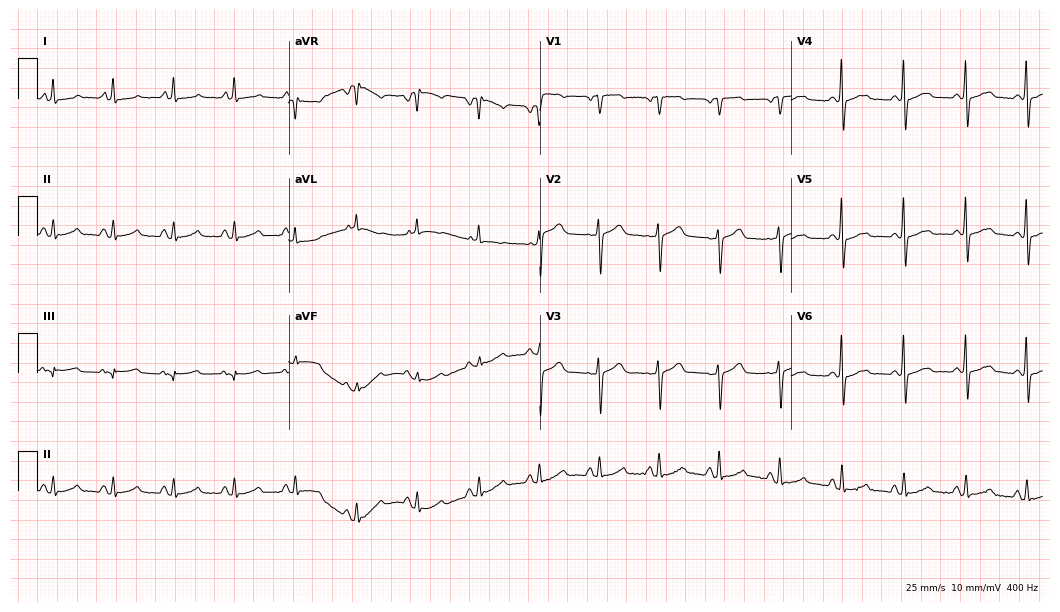
ECG (10.2-second recording at 400 Hz) — a 68-year-old female. Labelled as a normal ECG.